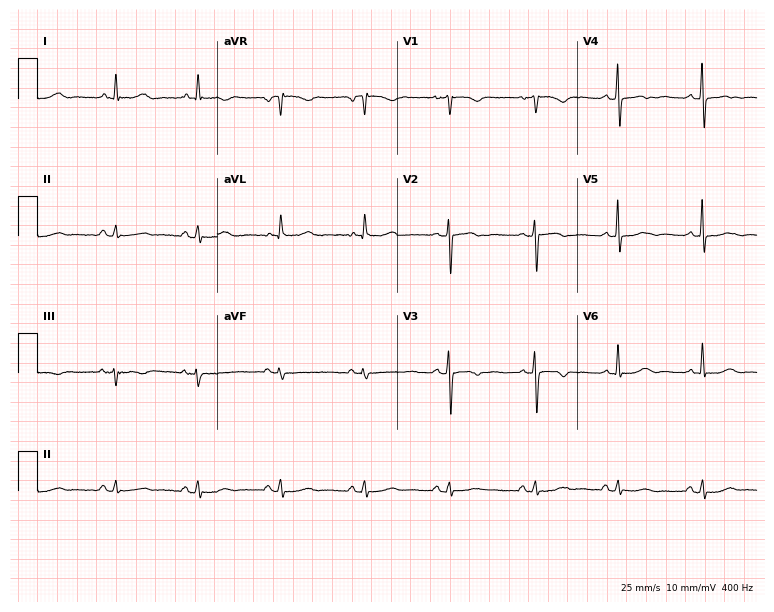
12-lead ECG (7.3-second recording at 400 Hz) from a female, 57 years old. Screened for six findings — first-degree AV block, right bundle branch block, left bundle branch block, sinus bradycardia, atrial fibrillation, sinus tachycardia — none is recorded.